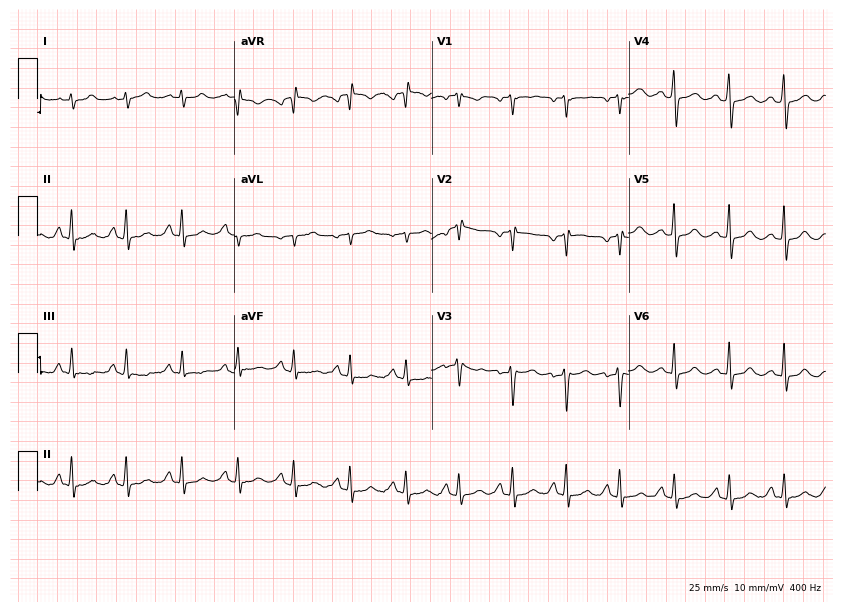
Standard 12-lead ECG recorded from a 26-year-old female (8-second recording at 400 Hz). None of these six findings is recorded: first-degree AV block, right bundle branch block, left bundle branch block, sinus bradycardia, atrial fibrillation, sinus tachycardia. Only these six findings were labelled.